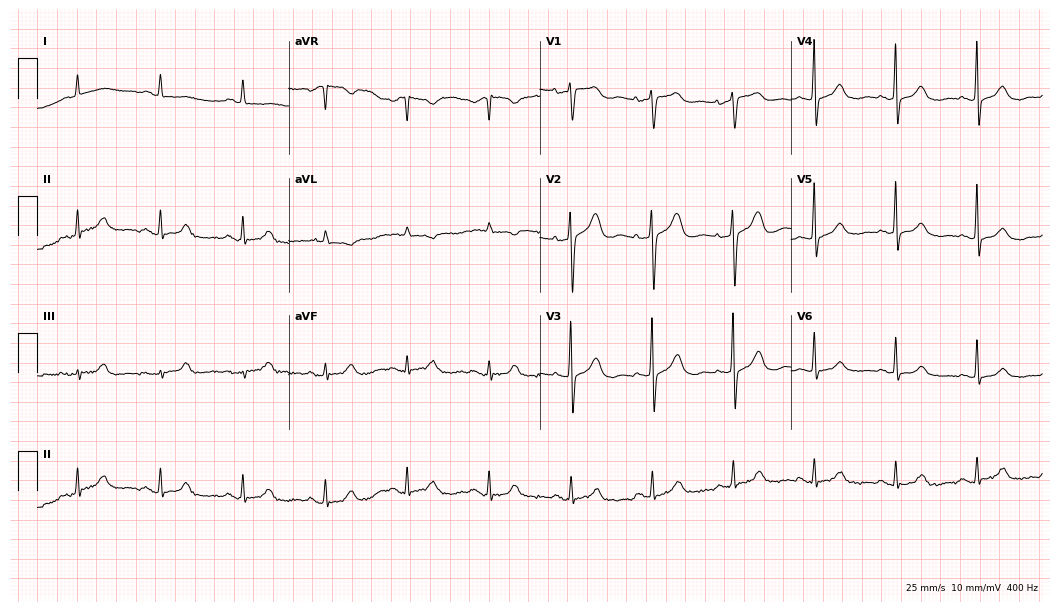
ECG (10.2-second recording at 400 Hz) — a woman, 82 years old. Labelled as a normal ECG.